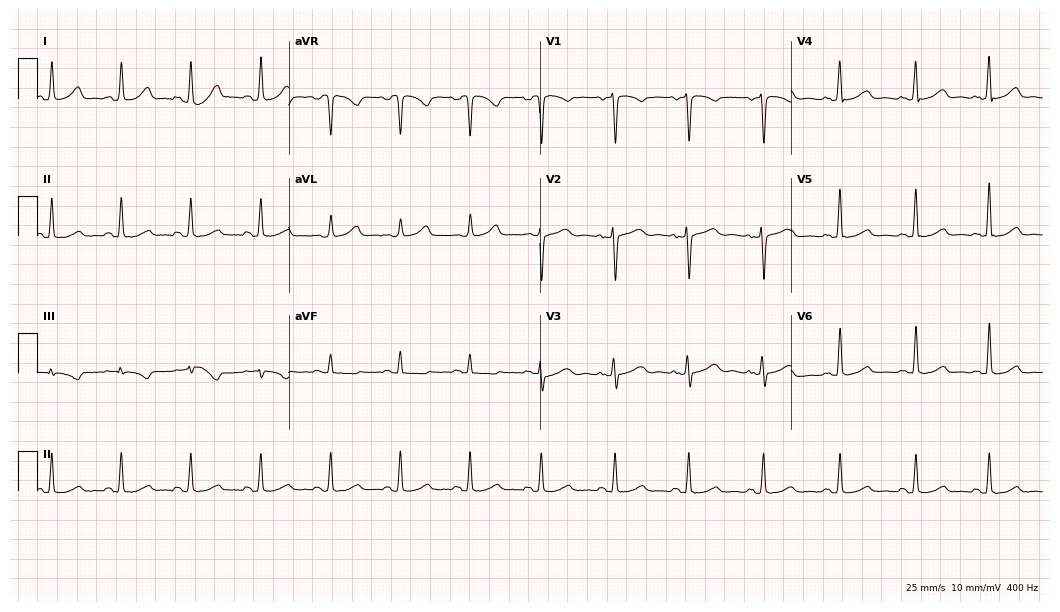
ECG (10.2-second recording at 400 Hz) — a female, 52 years old. Labelled as a normal ECG.